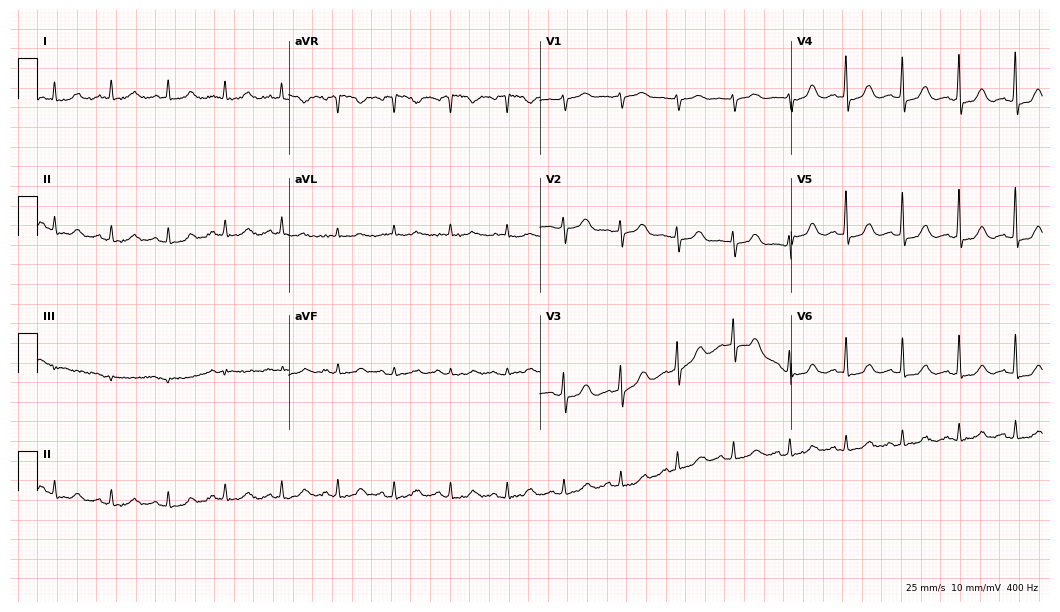
Electrocardiogram (10.2-second recording at 400 Hz), a female patient, 68 years old. Interpretation includes sinus tachycardia (a sinus rate of 100 beats per minute or more).